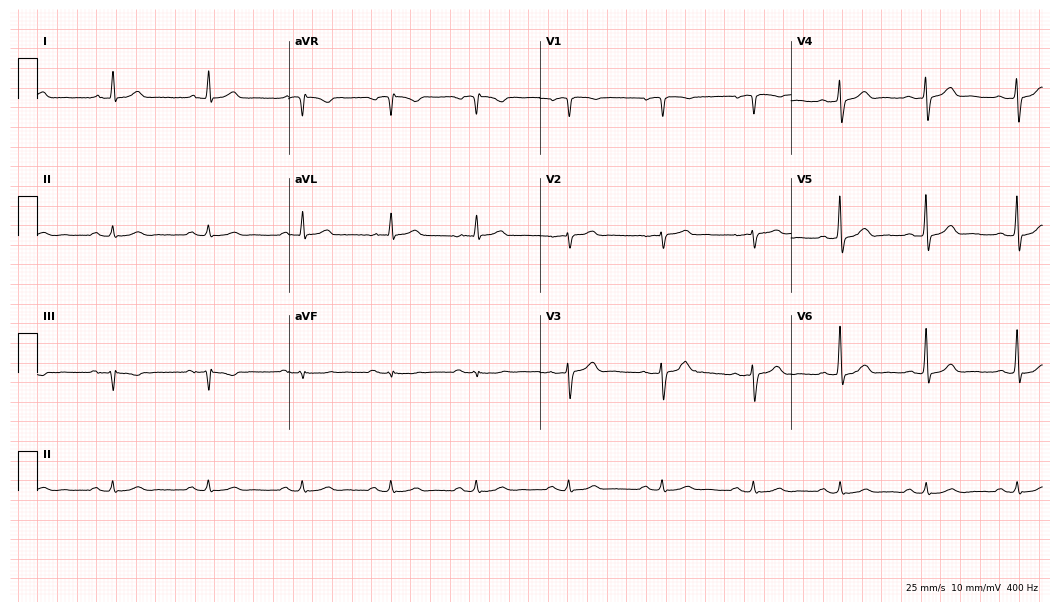
Standard 12-lead ECG recorded from a male, 58 years old. Read as a normal ECG.